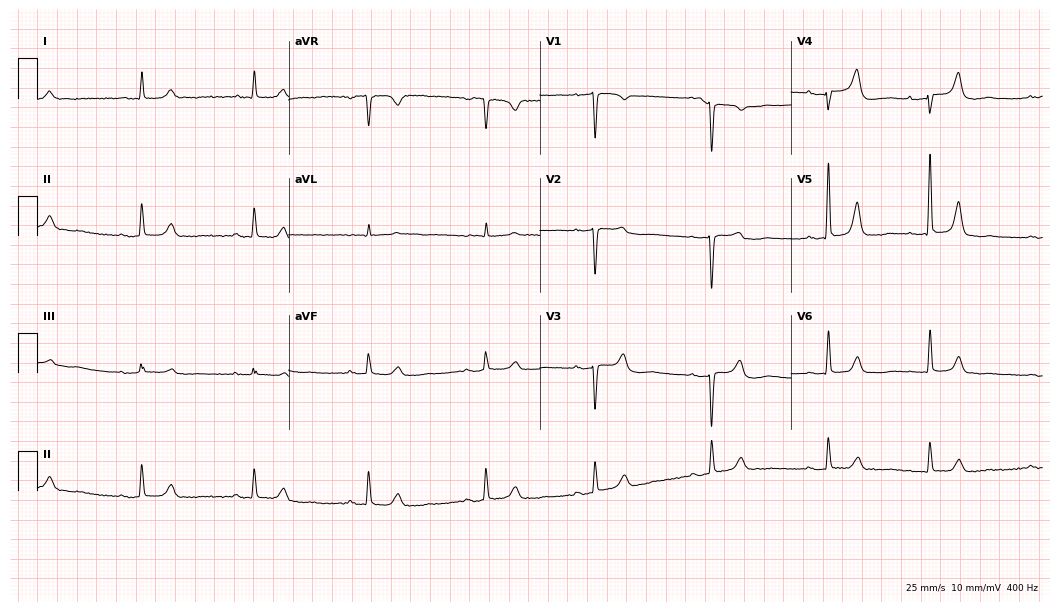
ECG (10.2-second recording at 400 Hz) — a 67-year-old female patient. Screened for six findings — first-degree AV block, right bundle branch block (RBBB), left bundle branch block (LBBB), sinus bradycardia, atrial fibrillation (AF), sinus tachycardia — none is recorded.